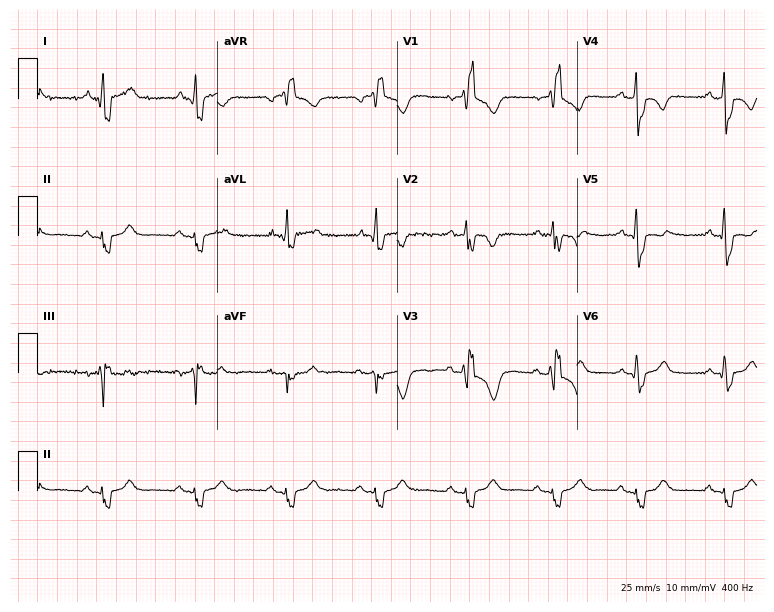
ECG (7.3-second recording at 400 Hz) — a 54-year-old man. Findings include right bundle branch block.